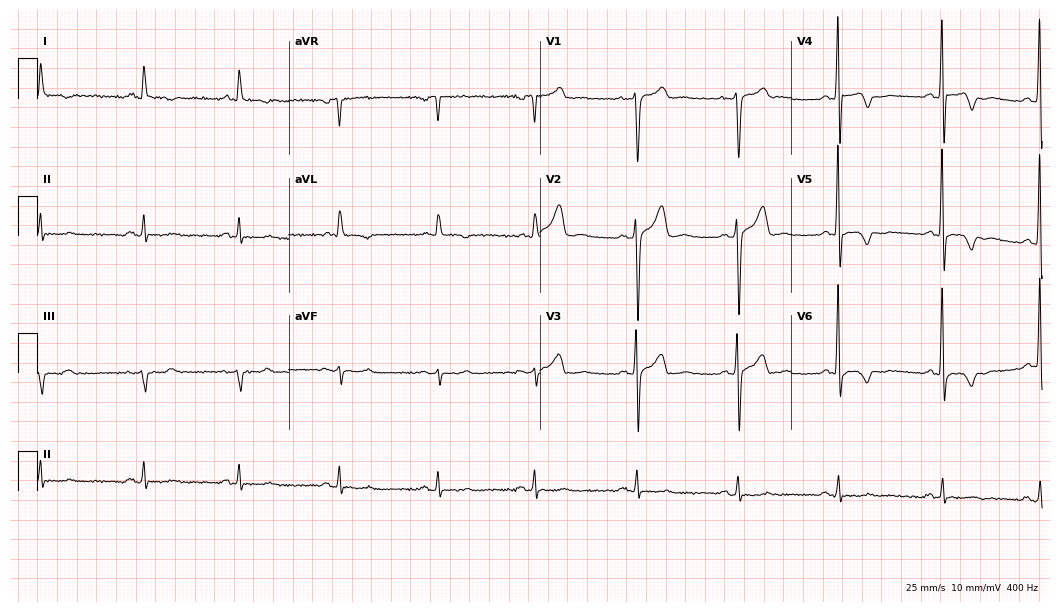
12-lead ECG from a 41-year-old male (10.2-second recording at 400 Hz). No first-degree AV block, right bundle branch block, left bundle branch block, sinus bradycardia, atrial fibrillation or sinus tachycardia recorded for this tracing. Findings outside these six are not listed.